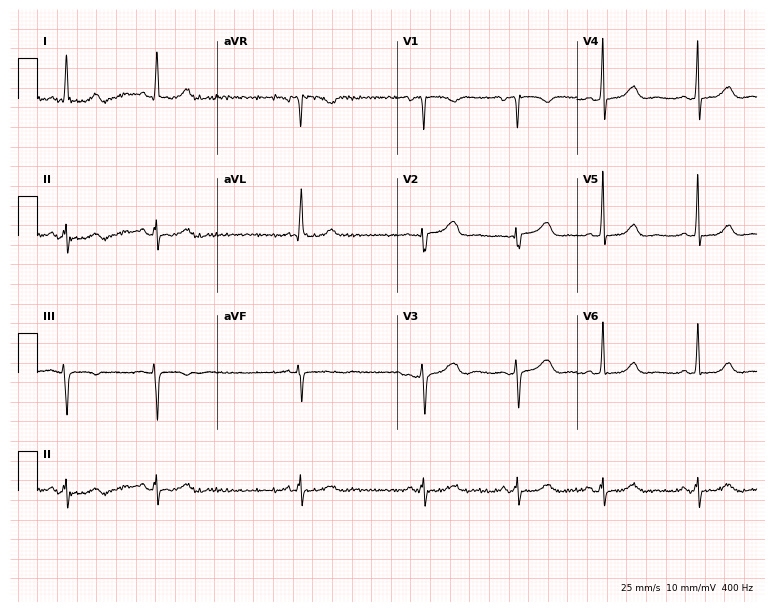
Standard 12-lead ECG recorded from a female, 81 years old. None of these six findings is recorded: first-degree AV block, right bundle branch block (RBBB), left bundle branch block (LBBB), sinus bradycardia, atrial fibrillation (AF), sinus tachycardia. Other findings, if any, are not listed.